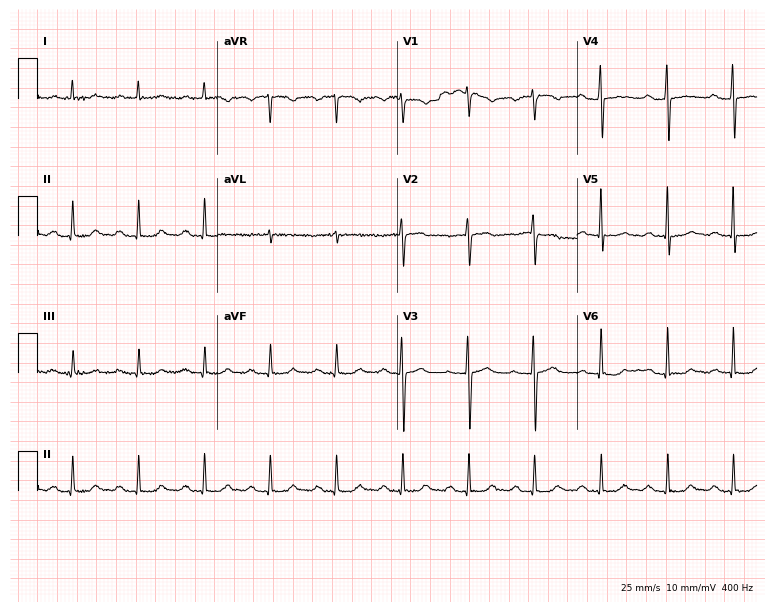
Resting 12-lead electrocardiogram. Patient: a female, 78 years old. None of these six findings is recorded: first-degree AV block, right bundle branch block, left bundle branch block, sinus bradycardia, atrial fibrillation, sinus tachycardia. Other findings, if any, are not listed.